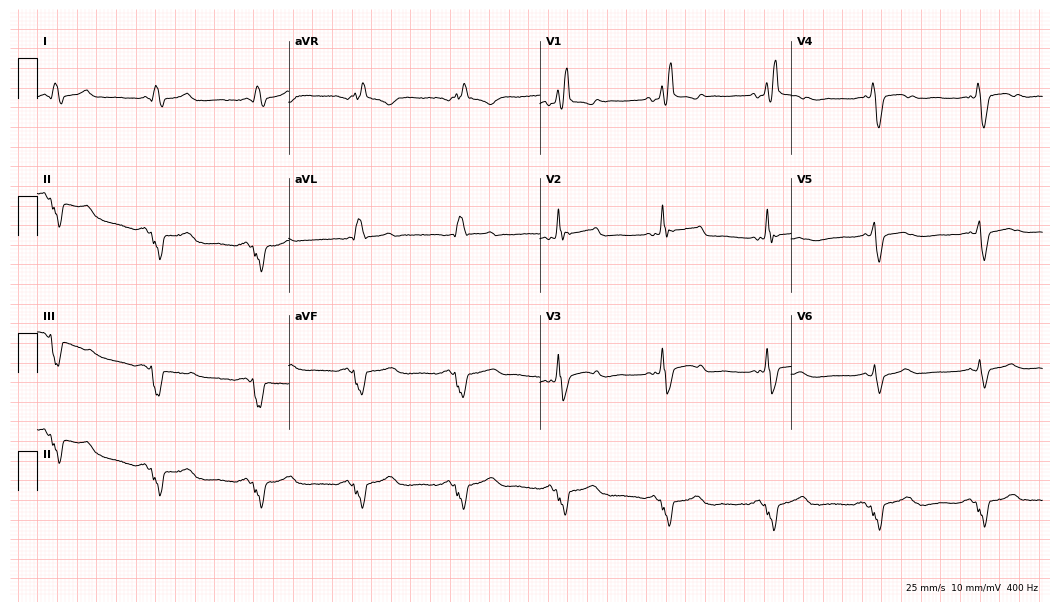
ECG (10.2-second recording at 400 Hz) — a male, 65 years old. Findings include right bundle branch block.